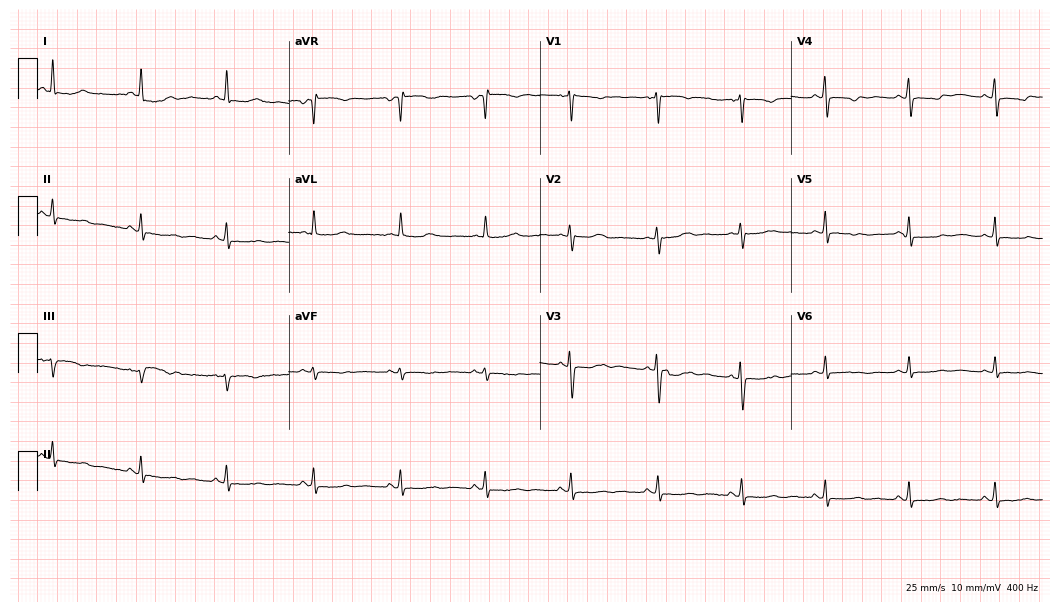
Electrocardiogram, a 56-year-old woman. Of the six screened findings (first-degree AV block, right bundle branch block, left bundle branch block, sinus bradycardia, atrial fibrillation, sinus tachycardia), none is recorded.